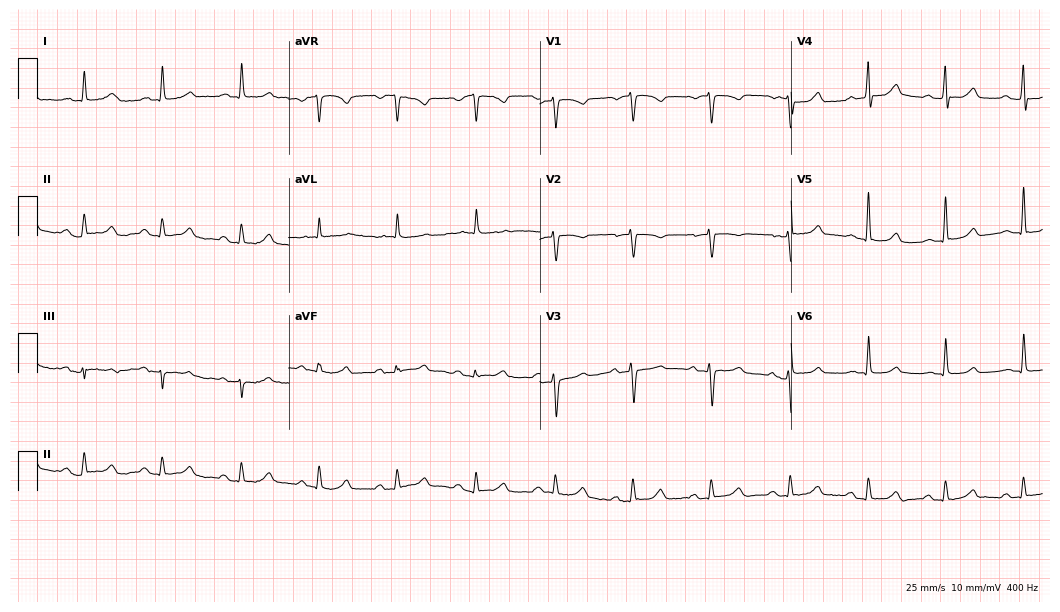
Electrocardiogram, a 78-year-old female patient. Overall reading on record: normal ECG.